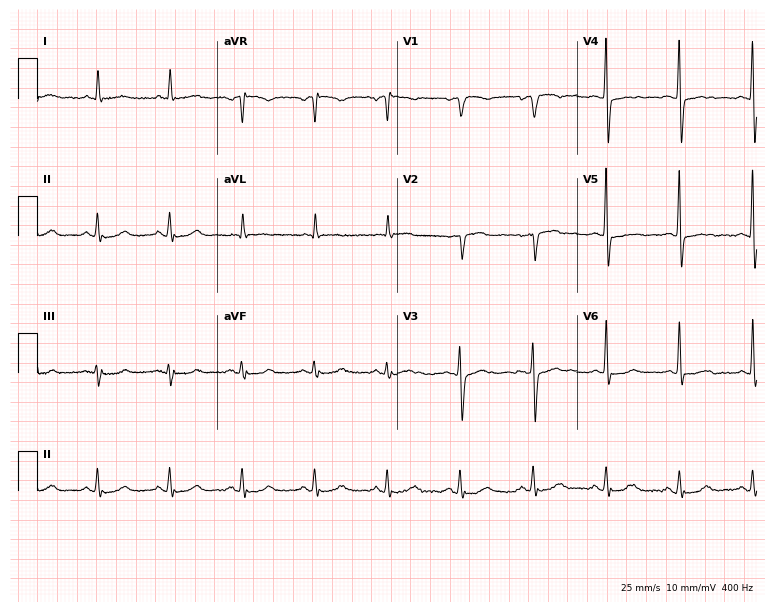
Standard 12-lead ECG recorded from an 80-year-old male patient. None of these six findings is recorded: first-degree AV block, right bundle branch block, left bundle branch block, sinus bradycardia, atrial fibrillation, sinus tachycardia. Findings outside these six are not listed.